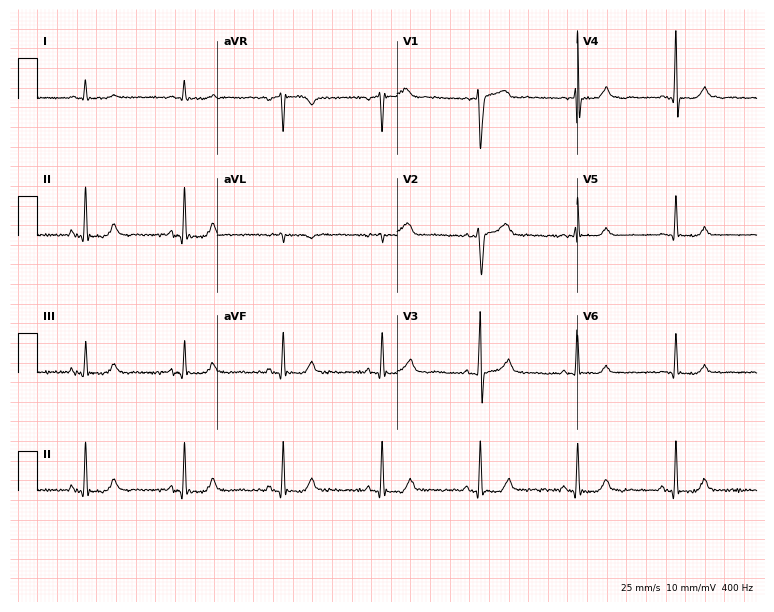
Standard 12-lead ECG recorded from a male, 68 years old (7.3-second recording at 400 Hz). None of these six findings is recorded: first-degree AV block, right bundle branch block (RBBB), left bundle branch block (LBBB), sinus bradycardia, atrial fibrillation (AF), sinus tachycardia.